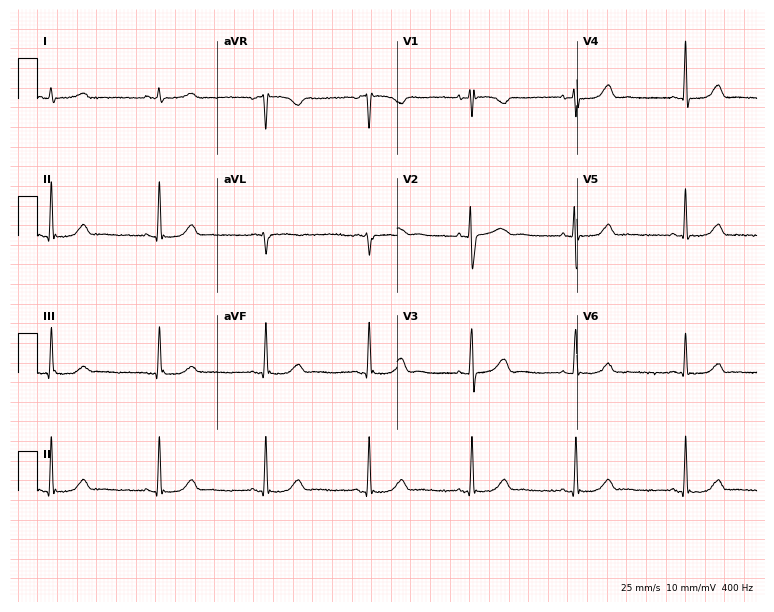
Resting 12-lead electrocardiogram (7.3-second recording at 400 Hz). Patient: a female, 58 years old. None of these six findings is recorded: first-degree AV block, right bundle branch block, left bundle branch block, sinus bradycardia, atrial fibrillation, sinus tachycardia.